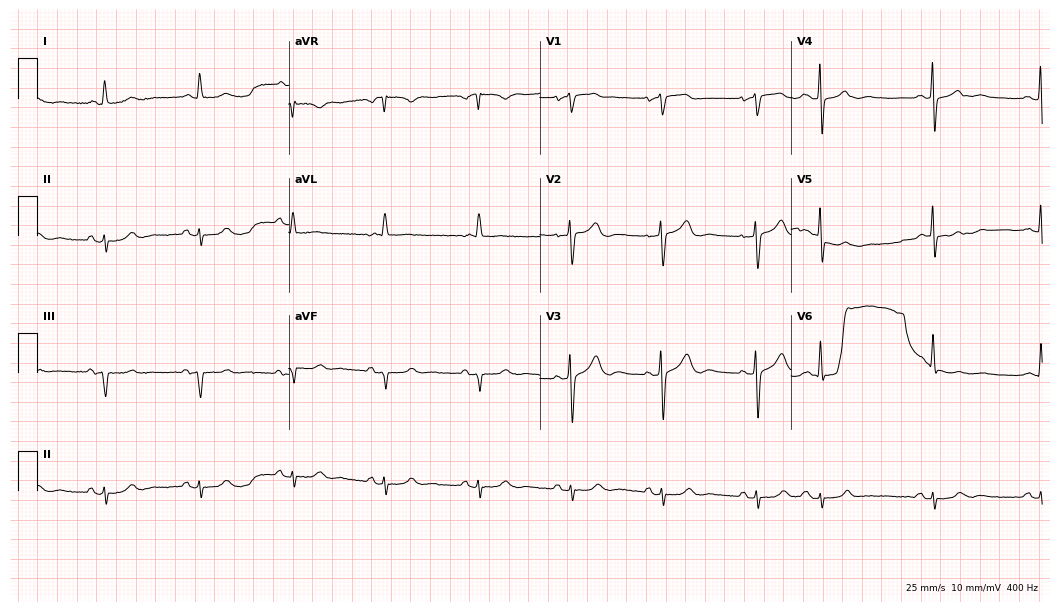
12-lead ECG from a female, 70 years old. Screened for six findings — first-degree AV block, right bundle branch block, left bundle branch block, sinus bradycardia, atrial fibrillation, sinus tachycardia — none is recorded.